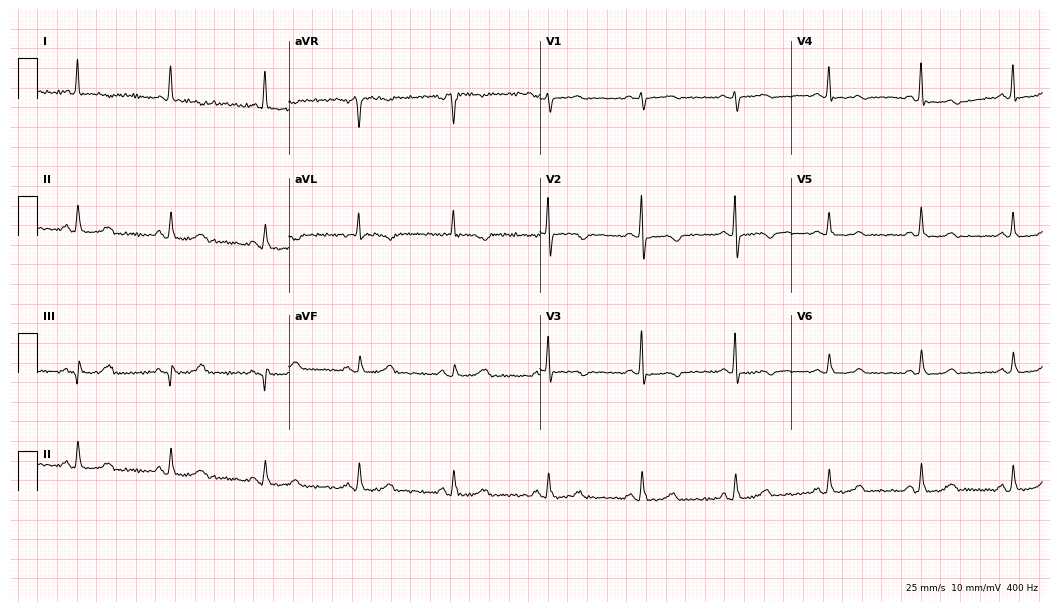
Electrocardiogram (10.2-second recording at 400 Hz), a female patient, 74 years old. Overall reading on record: normal ECG.